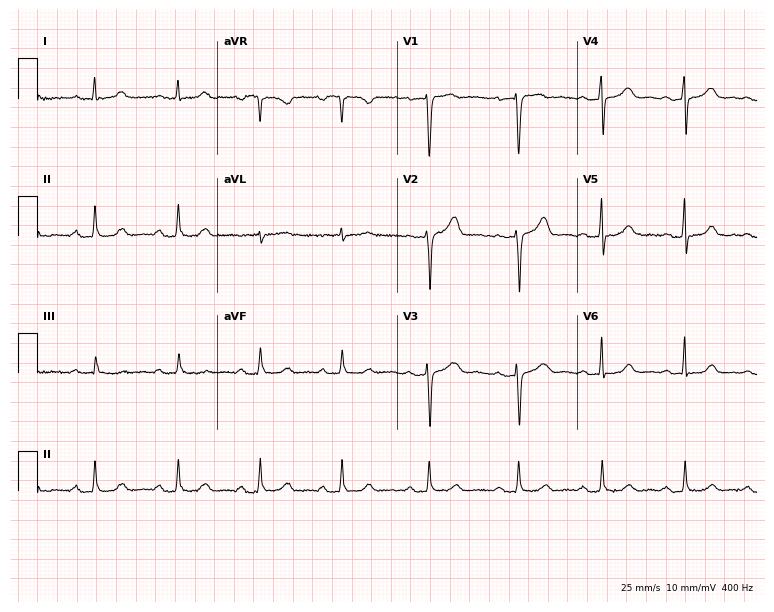
ECG — a female, 54 years old. Labelled as a normal ECG.